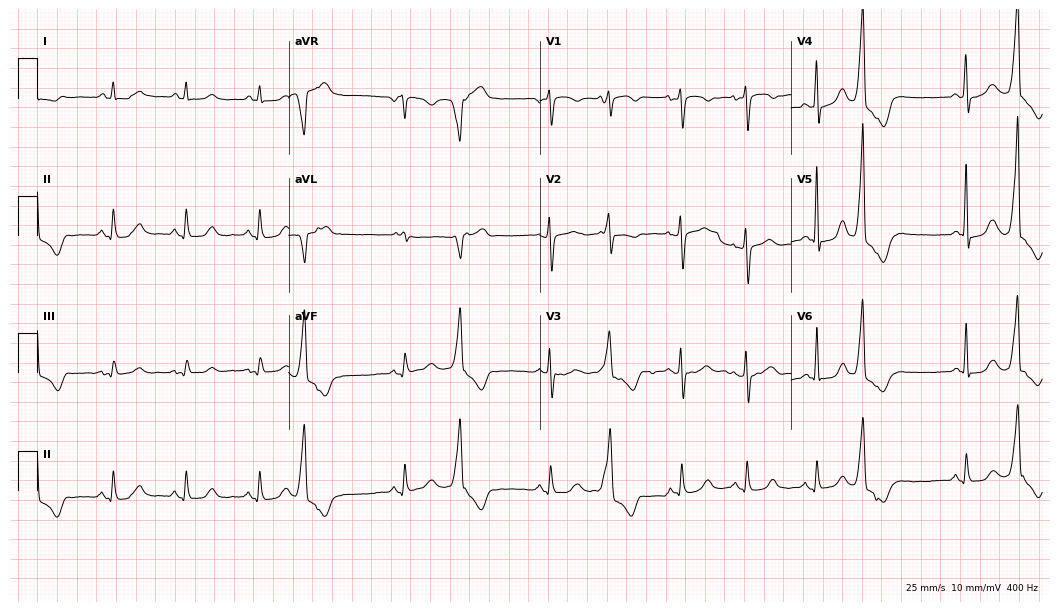
12-lead ECG from a woman, 74 years old. Labelled as a normal ECG.